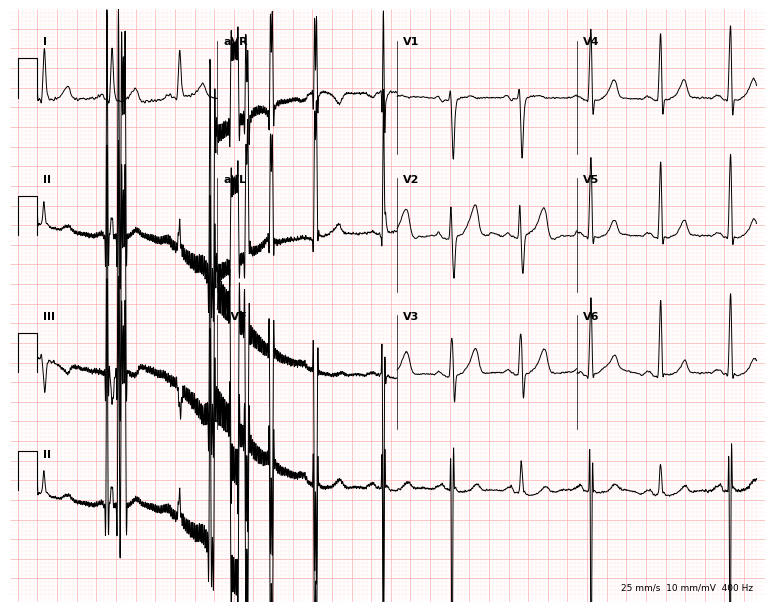
Standard 12-lead ECG recorded from a man, 56 years old. Read as a normal ECG.